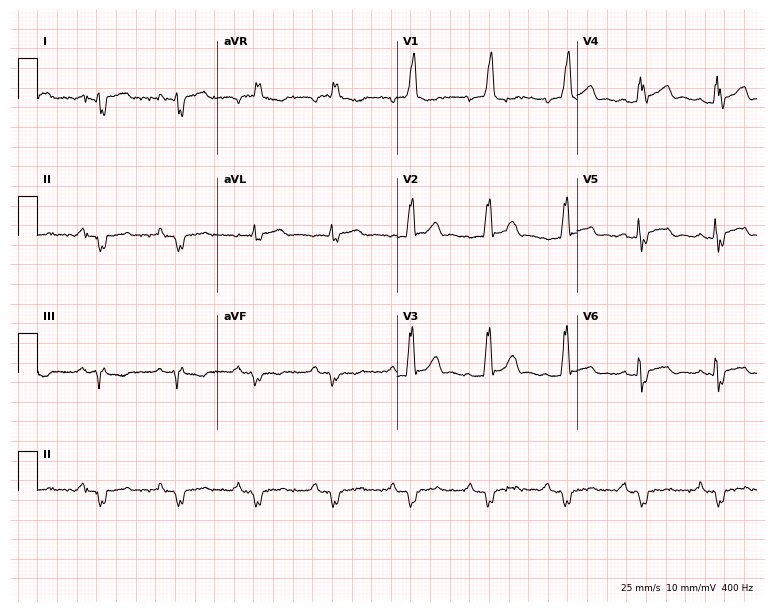
Standard 12-lead ECG recorded from a man, 70 years old. The tracing shows right bundle branch block (RBBB).